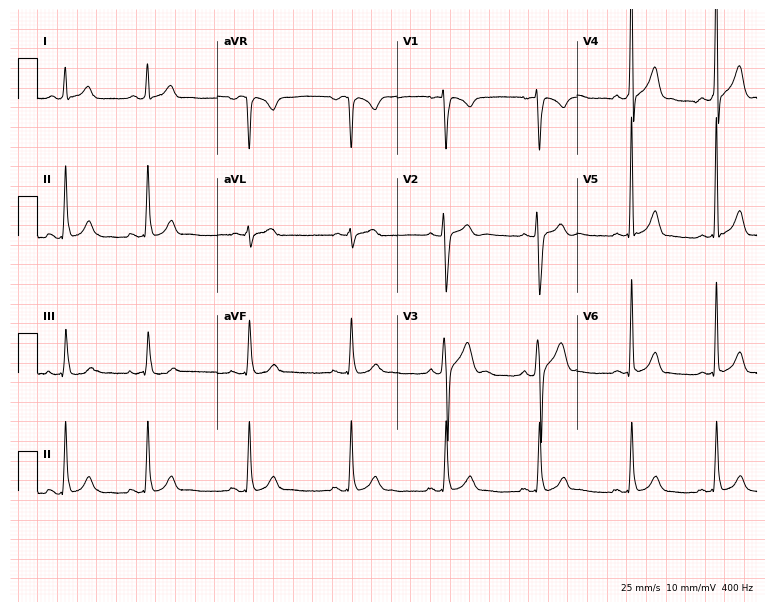
12-lead ECG from a male, 33 years old. Screened for six findings — first-degree AV block, right bundle branch block, left bundle branch block, sinus bradycardia, atrial fibrillation, sinus tachycardia — none is recorded.